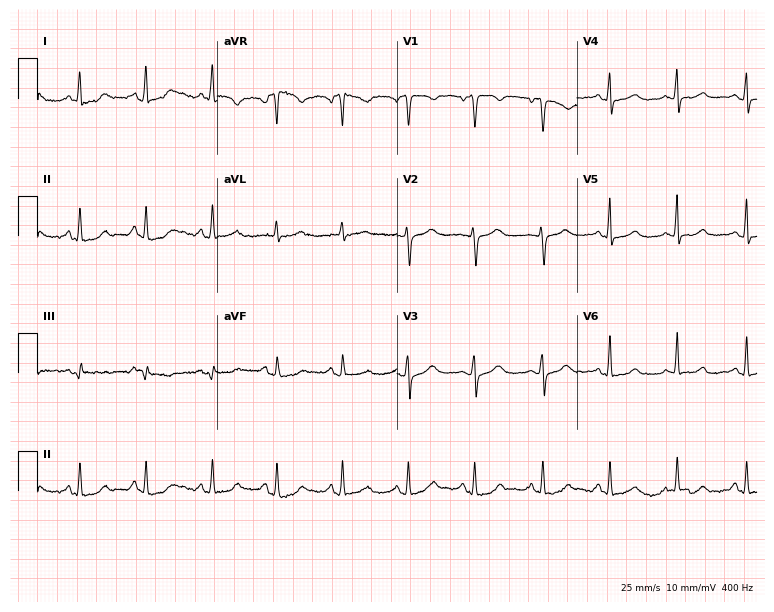
Resting 12-lead electrocardiogram (7.3-second recording at 400 Hz). Patient: a female, 46 years old. None of these six findings is recorded: first-degree AV block, right bundle branch block, left bundle branch block, sinus bradycardia, atrial fibrillation, sinus tachycardia.